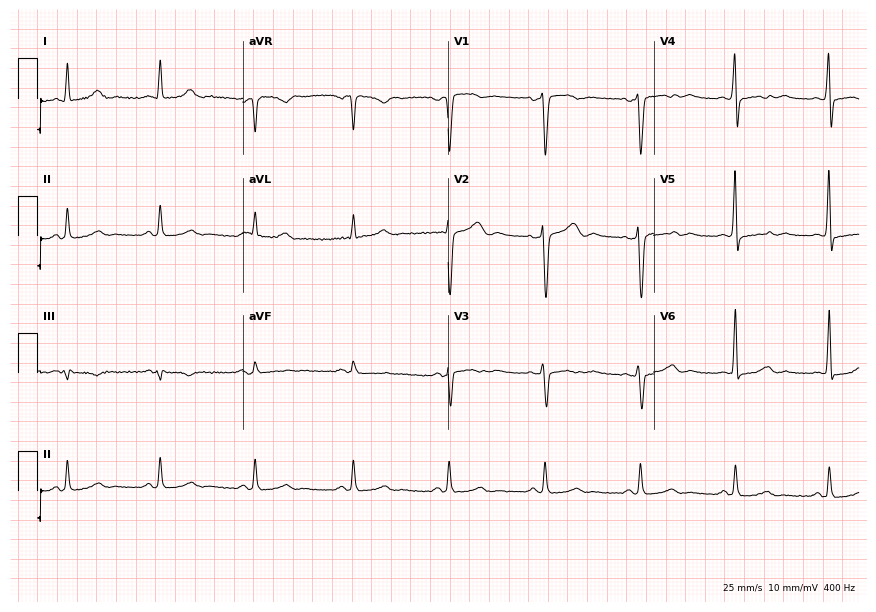
ECG — a 46-year-old male patient. Labelled as a normal ECG.